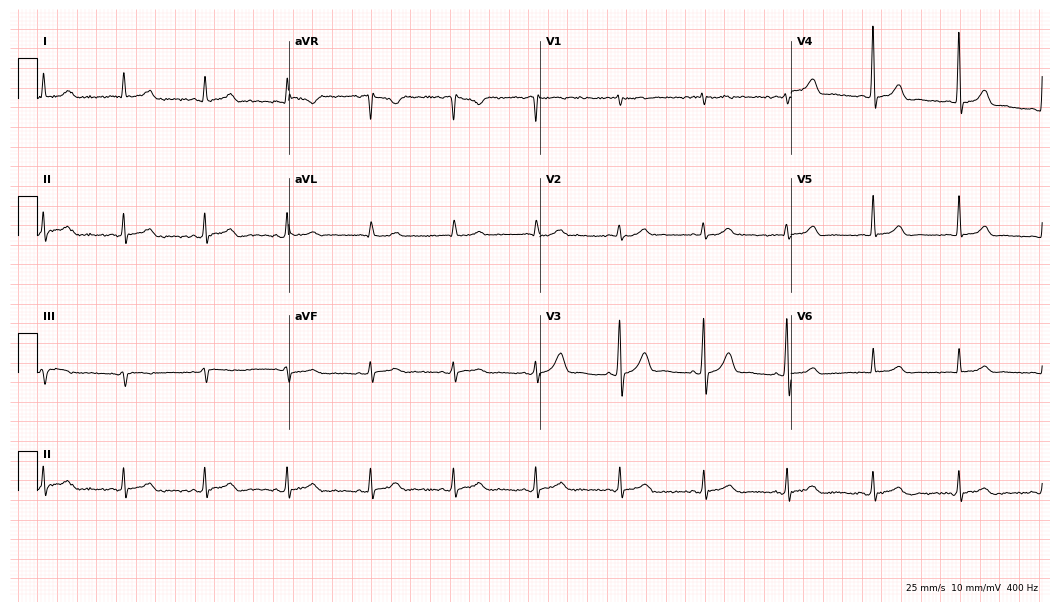
Standard 12-lead ECG recorded from a 74-year-old woman (10.2-second recording at 400 Hz). Read as a normal ECG.